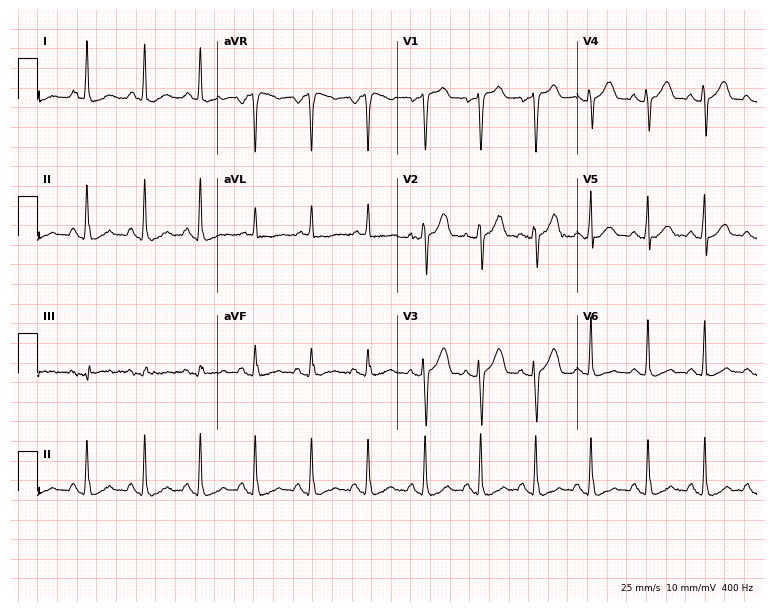
ECG (7.3-second recording at 400 Hz) — a 52-year-old woman. Findings include sinus tachycardia (a sinus rate of 100 beats per minute or more).